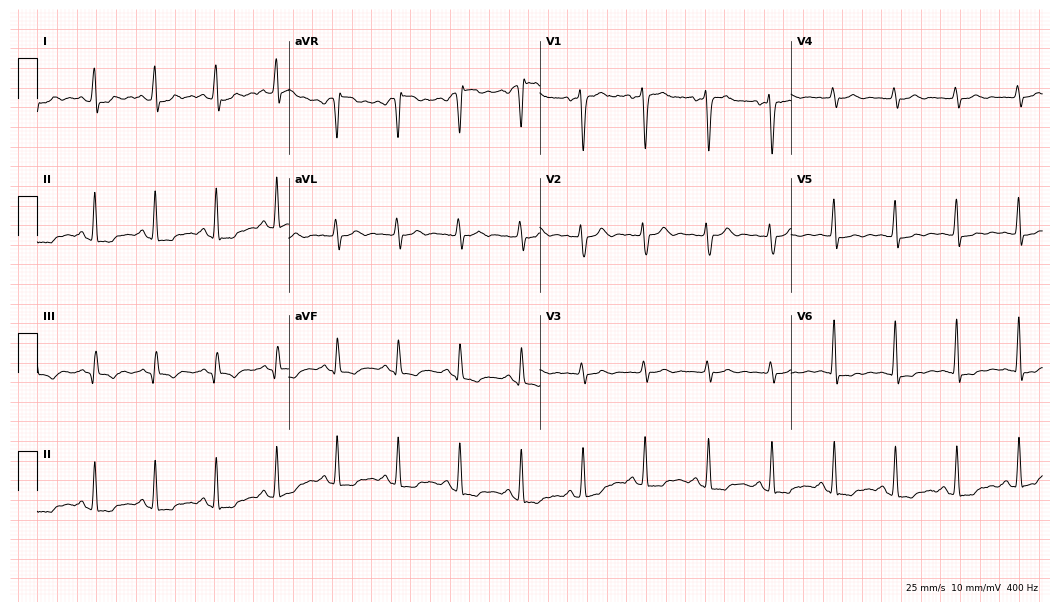
12-lead ECG from a man, 29 years old (10.2-second recording at 400 Hz). No first-degree AV block, right bundle branch block (RBBB), left bundle branch block (LBBB), sinus bradycardia, atrial fibrillation (AF) or sinus tachycardia recorded for this tracing.